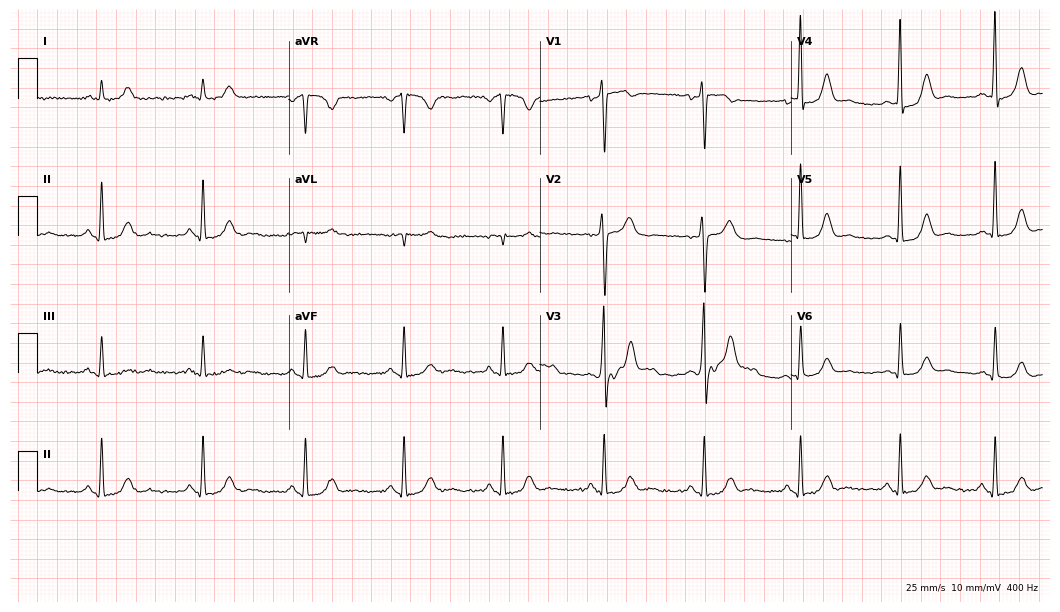
Electrocardiogram (10.2-second recording at 400 Hz), a 52-year-old male patient. Overall reading on record: normal ECG.